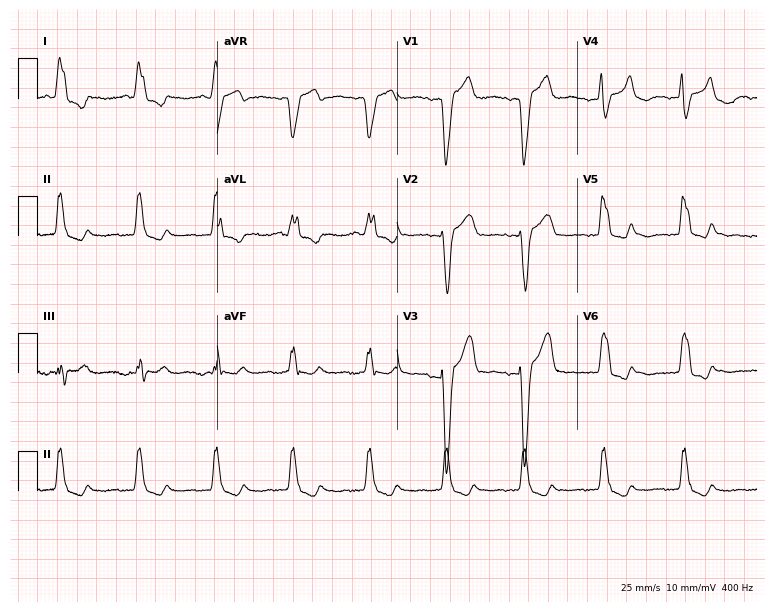
ECG (7.3-second recording at 400 Hz) — a 75-year-old female. Findings include left bundle branch block (LBBB).